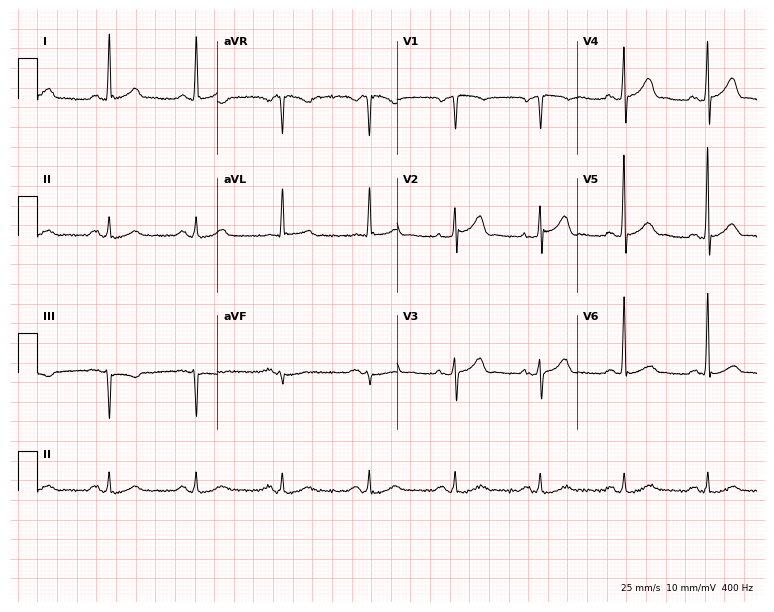
Standard 12-lead ECG recorded from a male patient, 68 years old. Read as a normal ECG.